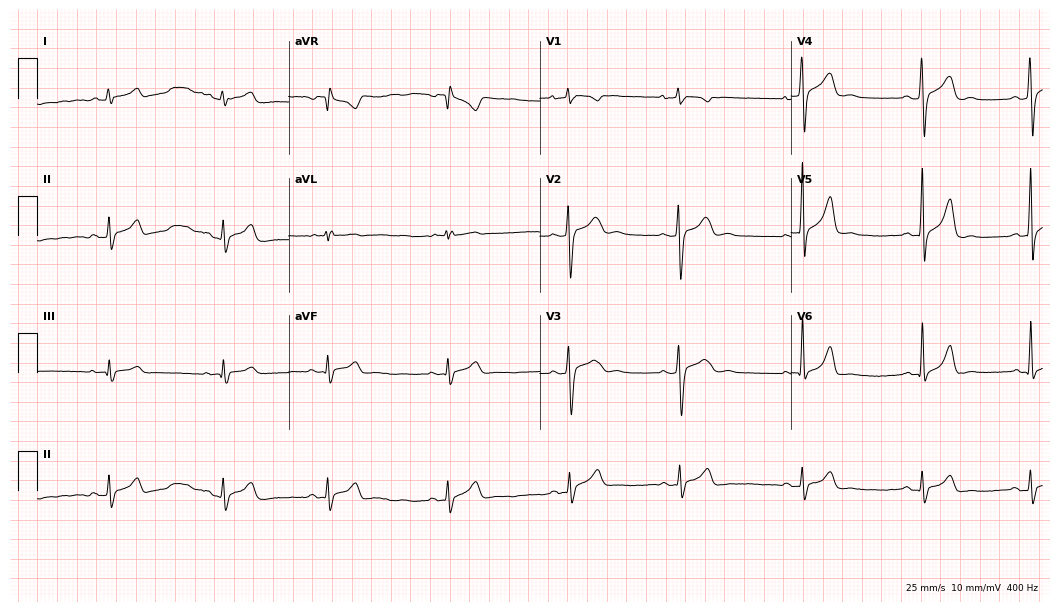
12-lead ECG from a 26-year-old male. Recorded interpretation: within normal limits.